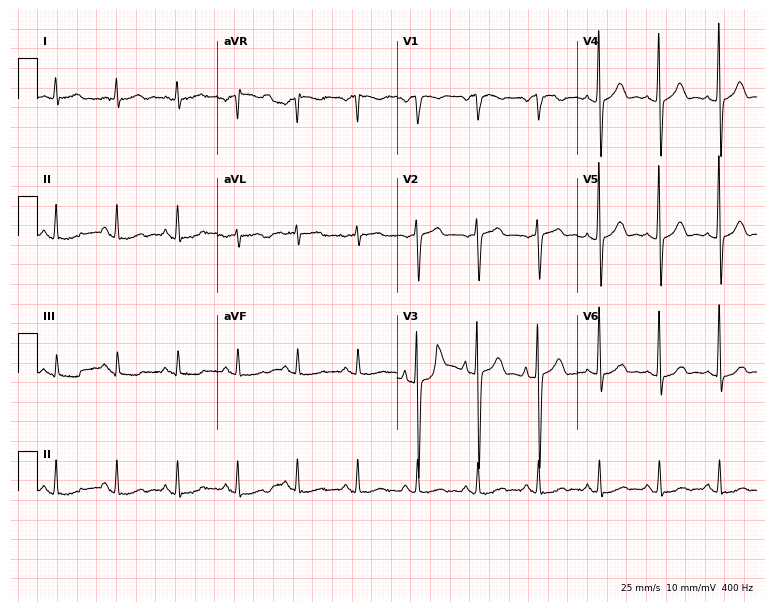
12-lead ECG from a 68-year-old male. No first-degree AV block, right bundle branch block, left bundle branch block, sinus bradycardia, atrial fibrillation or sinus tachycardia recorded for this tracing. Only these six findings were labelled.